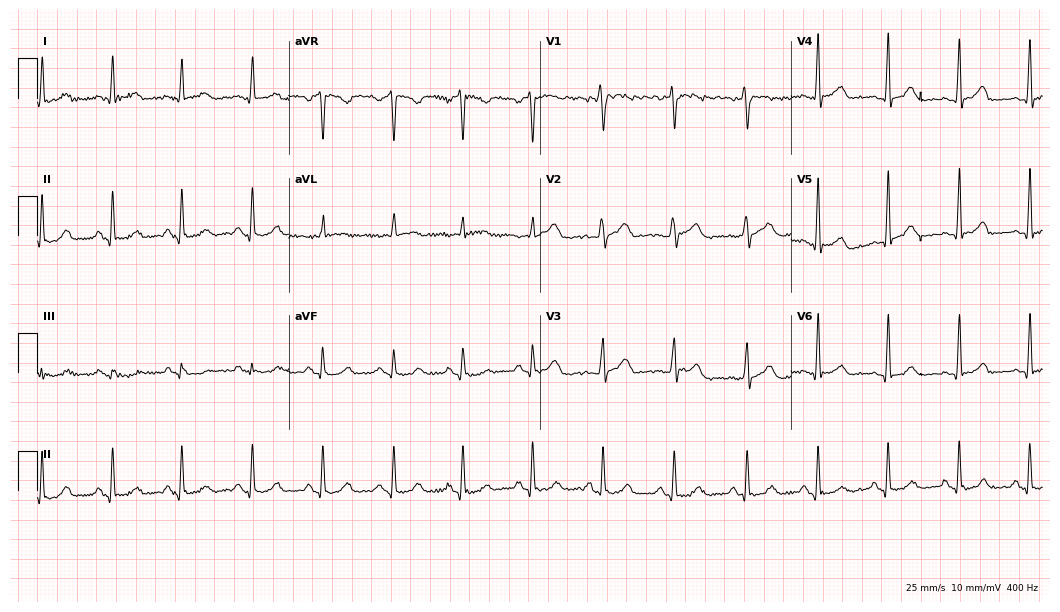
ECG (10.2-second recording at 400 Hz) — a 47-year-old female. Labelled as a normal ECG.